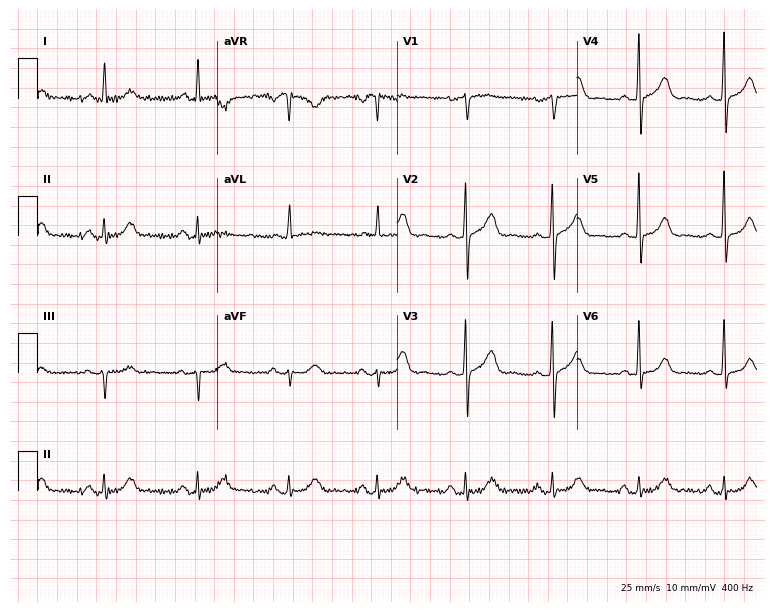
12-lead ECG (7.3-second recording at 400 Hz) from a 69-year-old woman. Screened for six findings — first-degree AV block, right bundle branch block (RBBB), left bundle branch block (LBBB), sinus bradycardia, atrial fibrillation (AF), sinus tachycardia — none is recorded. Only these six findings were labelled.